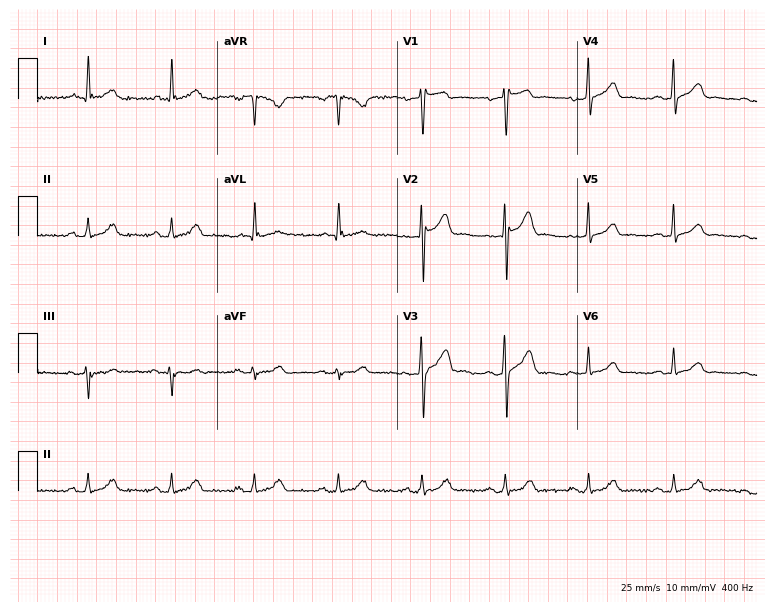
Resting 12-lead electrocardiogram. Patient: a 65-year-old male. Read as a normal ECG.